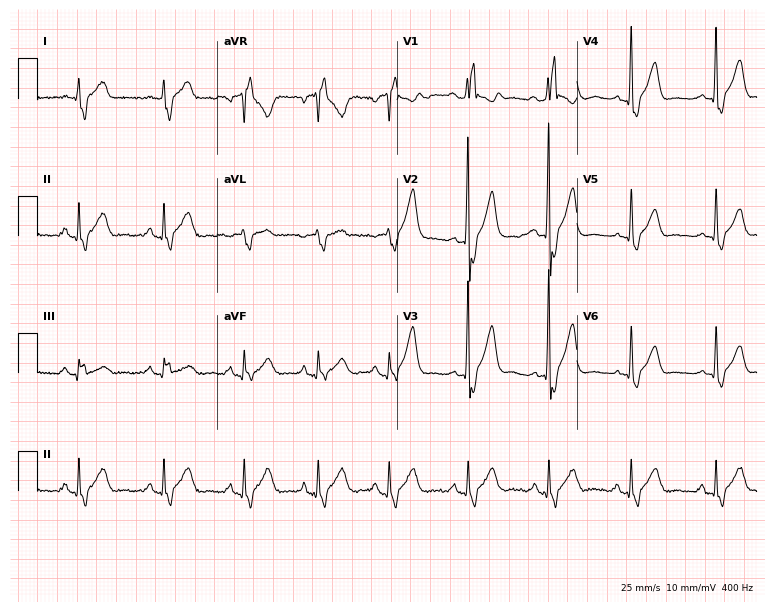
Electrocardiogram, a 37-year-old male patient. Interpretation includes right bundle branch block (RBBB).